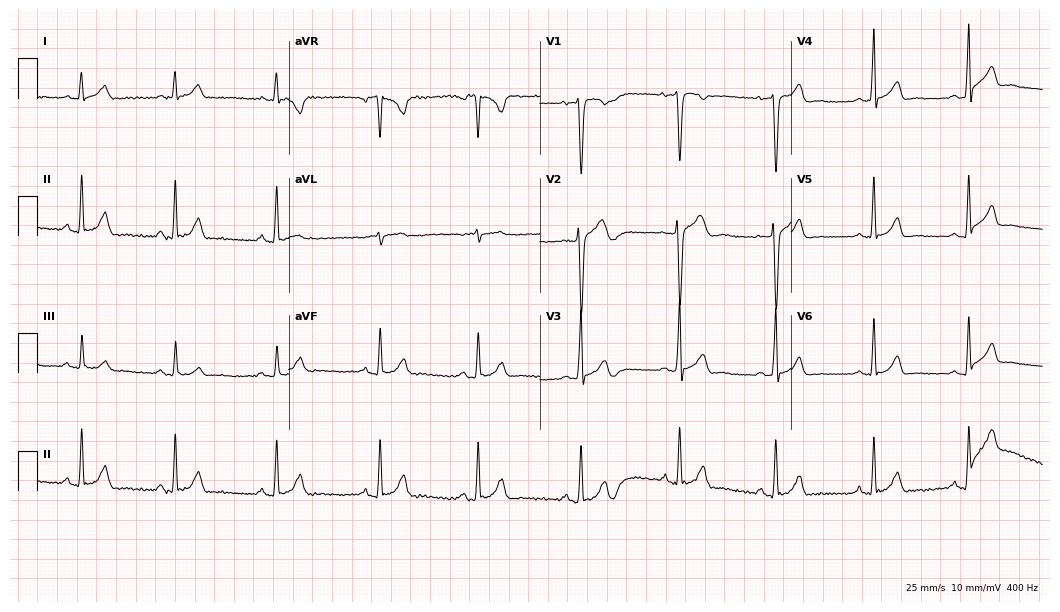
12-lead ECG from a man, 23 years old. Recorded interpretation: within normal limits.